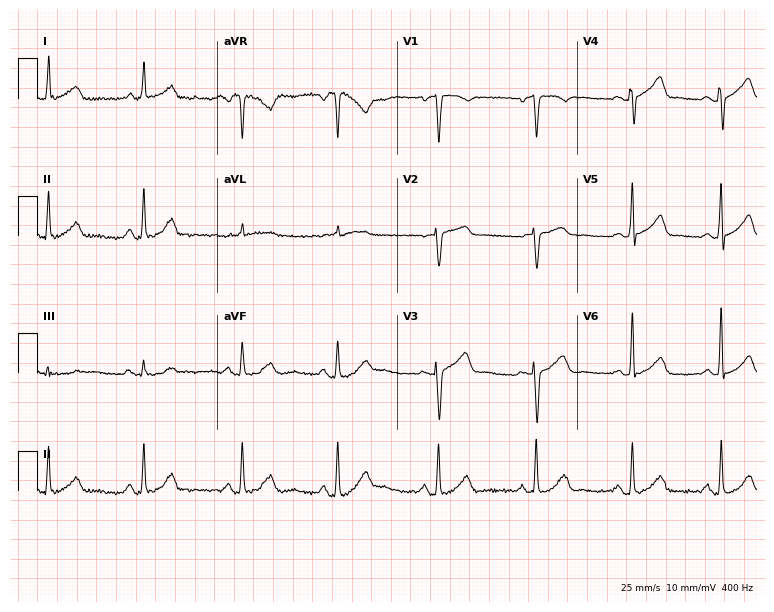
Standard 12-lead ECG recorded from a 57-year-old female (7.3-second recording at 400 Hz). Read as a normal ECG.